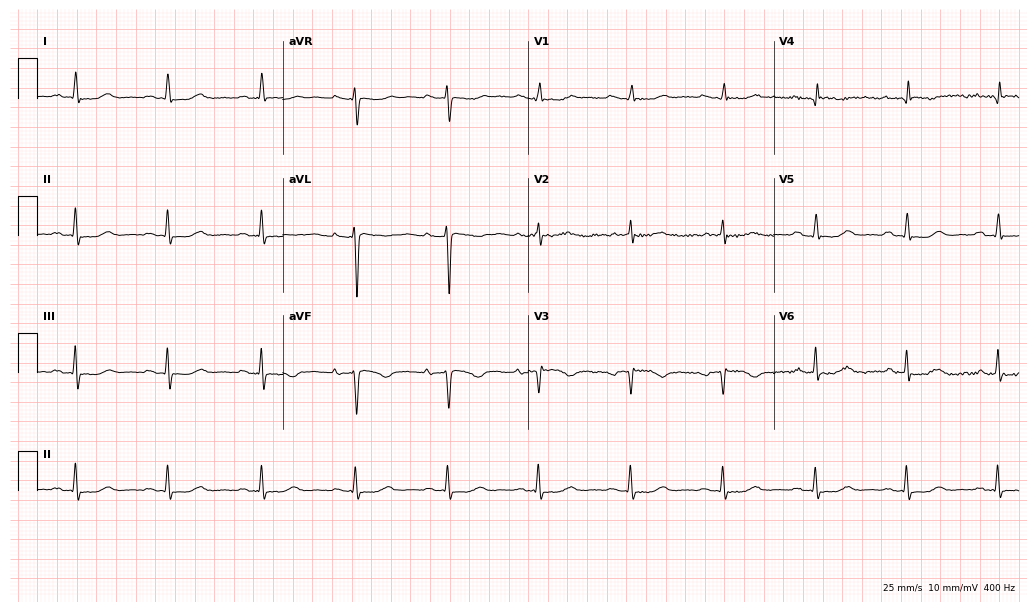
12-lead ECG from a female patient, 72 years old (10-second recording at 400 Hz). No first-degree AV block, right bundle branch block, left bundle branch block, sinus bradycardia, atrial fibrillation or sinus tachycardia recorded for this tracing.